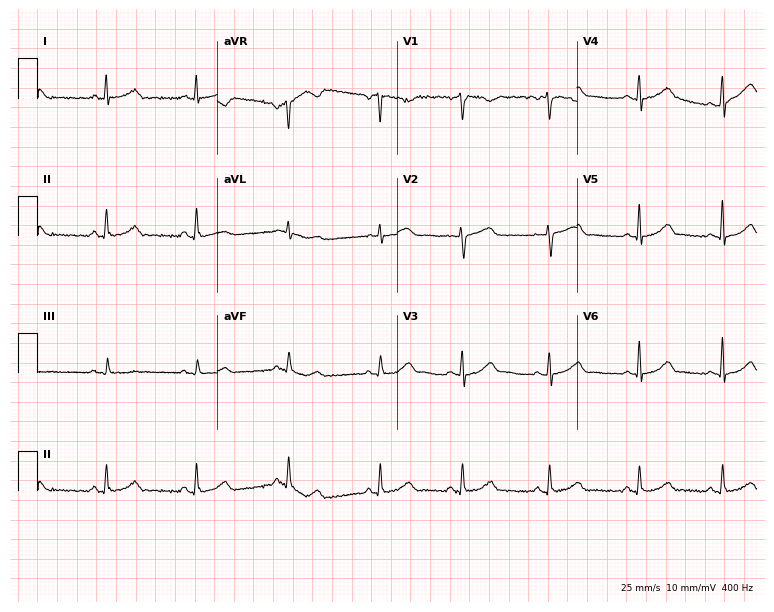
Standard 12-lead ECG recorded from a woman, 43 years old. None of these six findings is recorded: first-degree AV block, right bundle branch block (RBBB), left bundle branch block (LBBB), sinus bradycardia, atrial fibrillation (AF), sinus tachycardia. Findings outside these six are not listed.